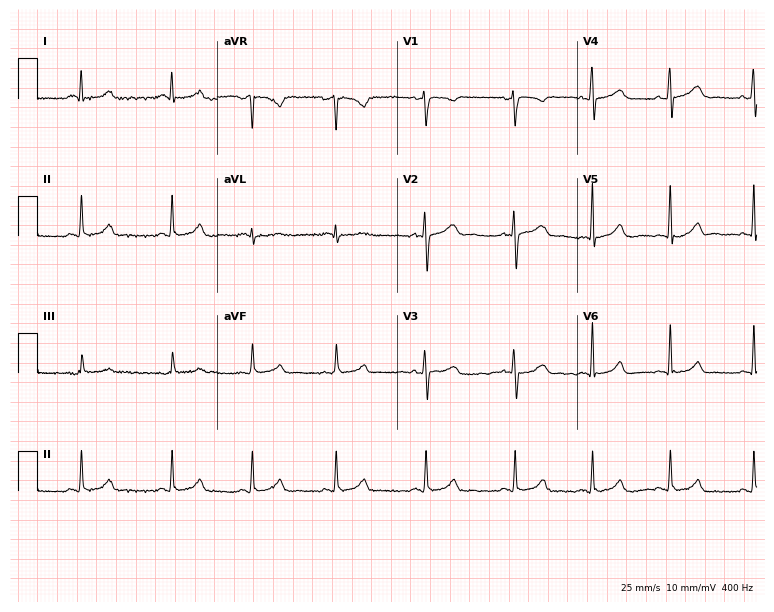
Standard 12-lead ECG recorded from a 20-year-old female patient (7.3-second recording at 400 Hz). Read as a normal ECG.